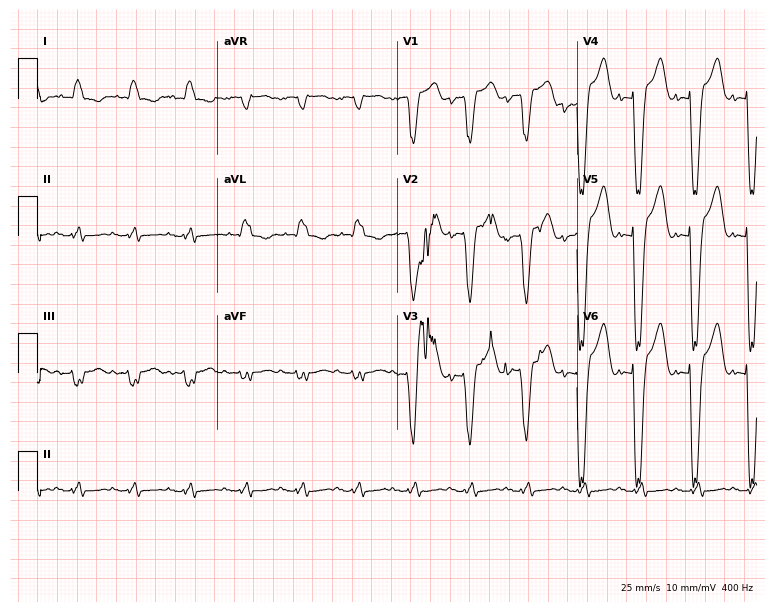
12-lead ECG from a male patient, 64 years old. Screened for six findings — first-degree AV block, right bundle branch block (RBBB), left bundle branch block (LBBB), sinus bradycardia, atrial fibrillation (AF), sinus tachycardia — none is recorded. Findings outside these six are not listed.